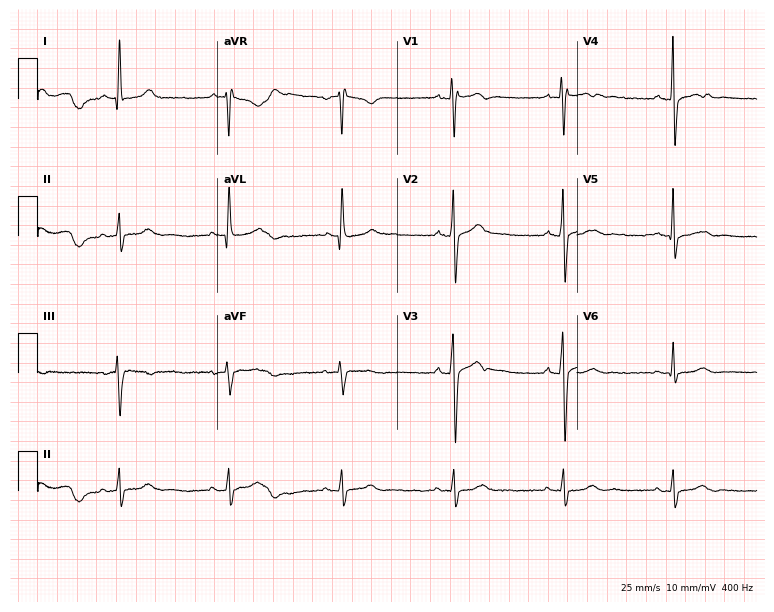
ECG (7.3-second recording at 400 Hz) — a male patient, 50 years old. Labelled as a normal ECG.